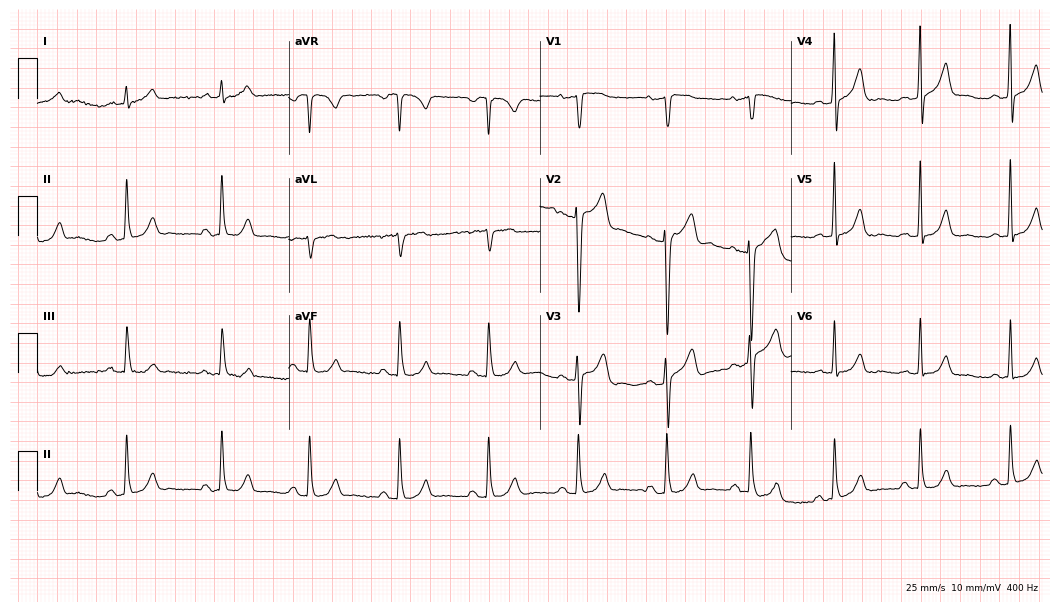
Resting 12-lead electrocardiogram (10.2-second recording at 400 Hz). Patient: a 57-year-old male. None of these six findings is recorded: first-degree AV block, right bundle branch block (RBBB), left bundle branch block (LBBB), sinus bradycardia, atrial fibrillation (AF), sinus tachycardia.